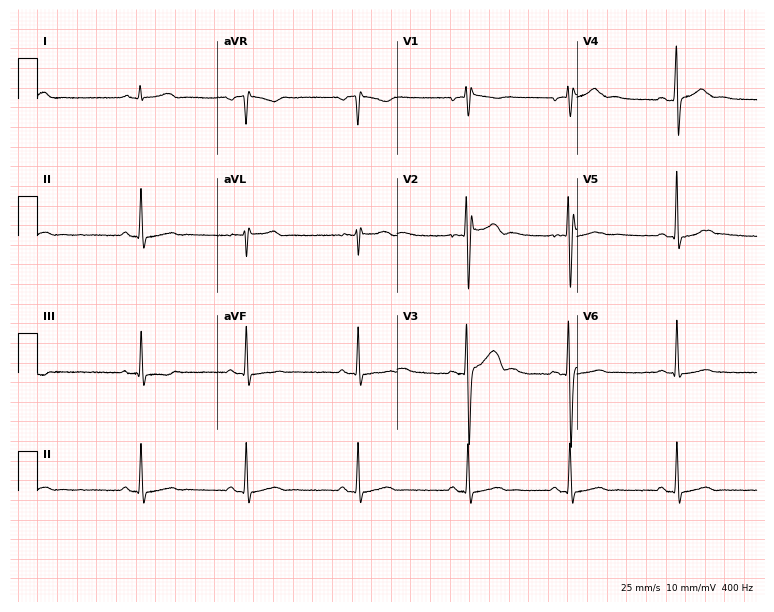
Standard 12-lead ECG recorded from a male patient, 25 years old (7.3-second recording at 400 Hz). None of these six findings is recorded: first-degree AV block, right bundle branch block (RBBB), left bundle branch block (LBBB), sinus bradycardia, atrial fibrillation (AF), sinus tachycardia. Other findings, if any, are not listed.